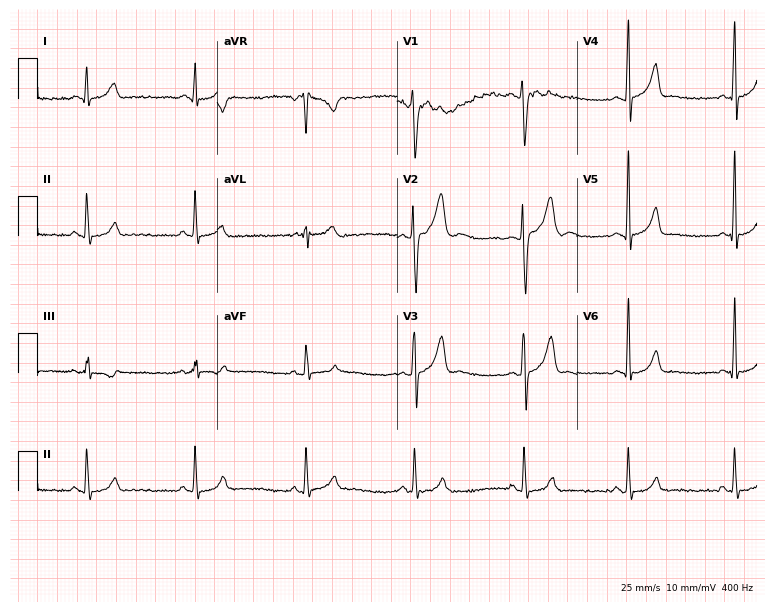
ECG — a 32-year-old male patient. Labelled as a normal ECG.